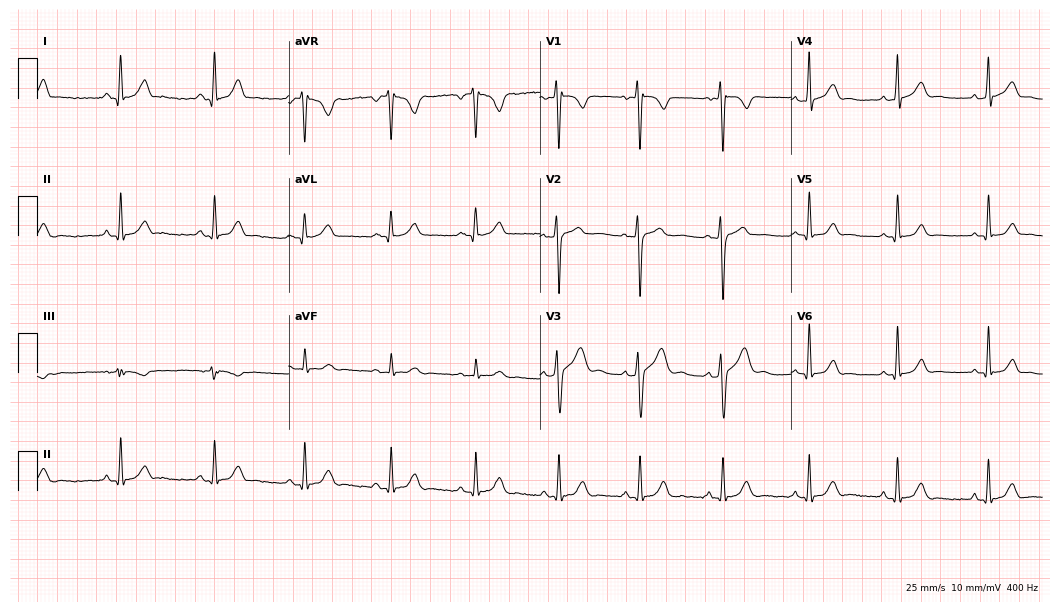
12-lead ECG (10.2-second recording at 400 Hz) from a 27-year-old male patient. Labelled as a normal ECG.